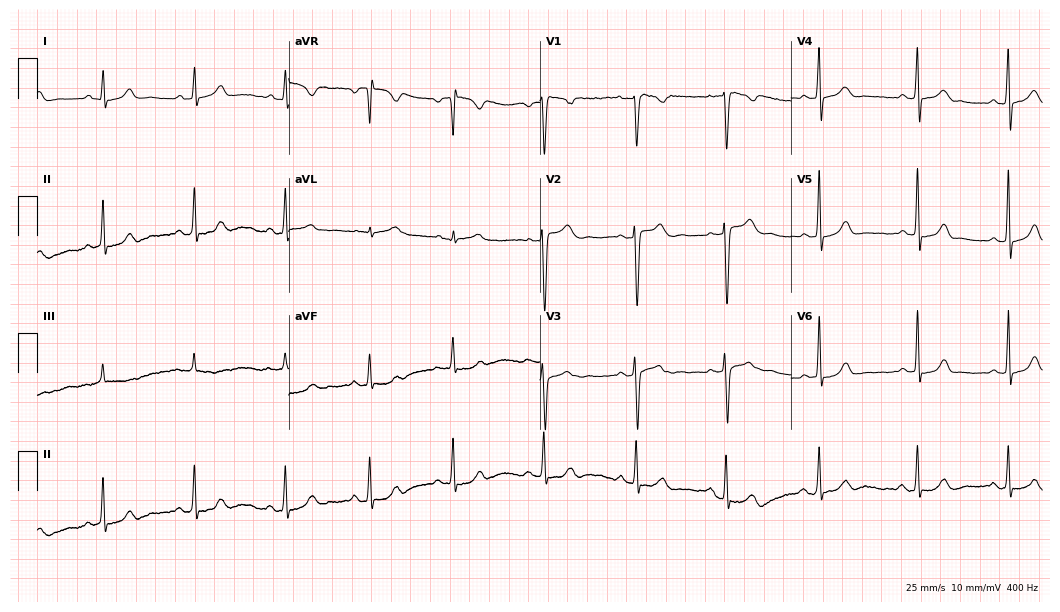
ECG (10.2-second recording at 400 Hz) — a female, 28 years old. Labelled as a normal ECG.